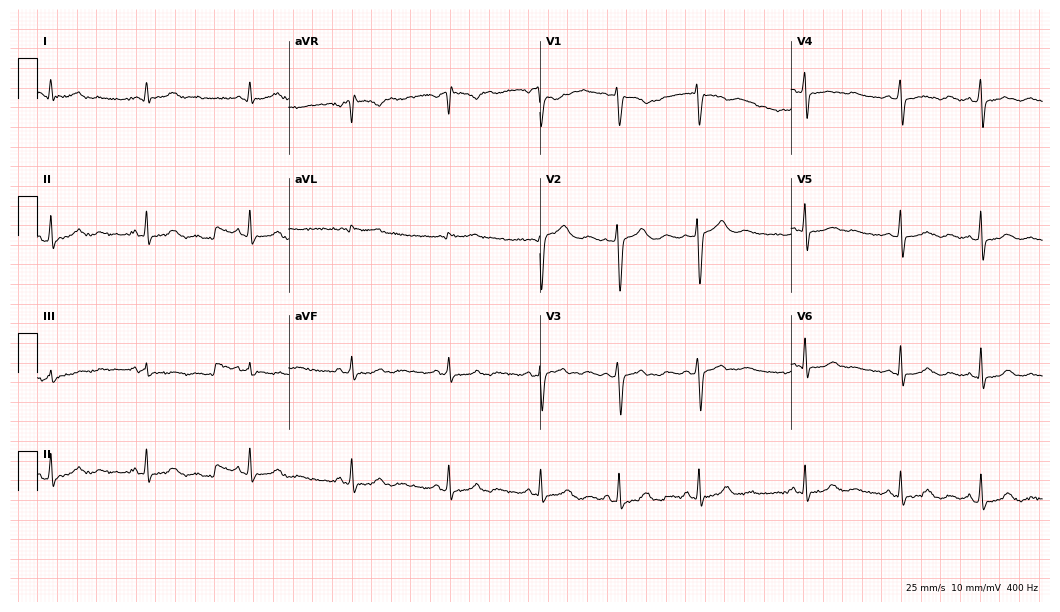
12-lead ECG from a female patient, 35 years old. Labelled as a normal ECG.